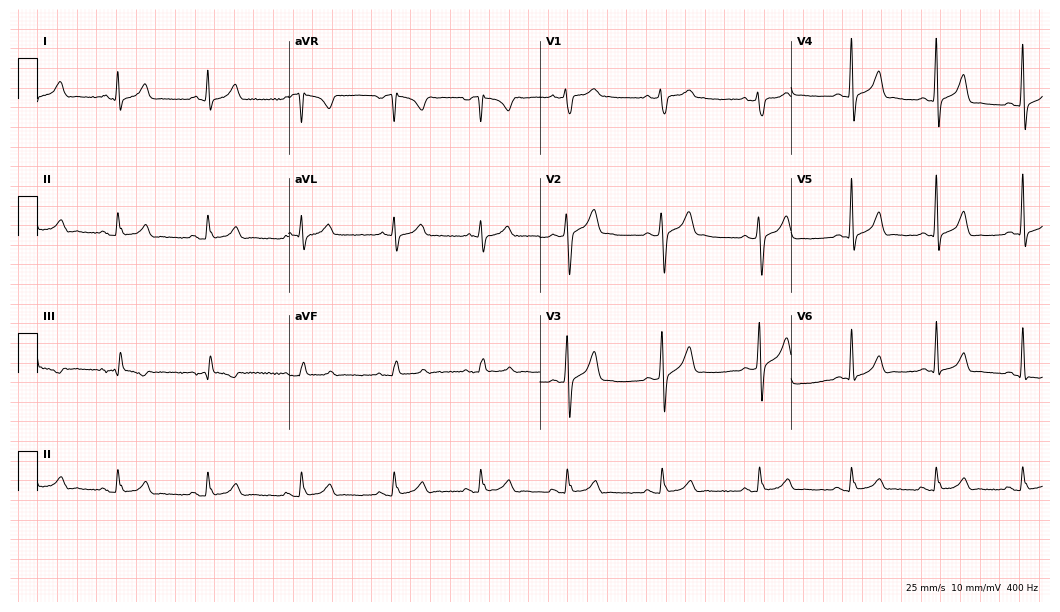
Electrocardiogram (10.2-second recording at 400 Hz), a man, 27 years old. Overall reading on record: normal ECG.